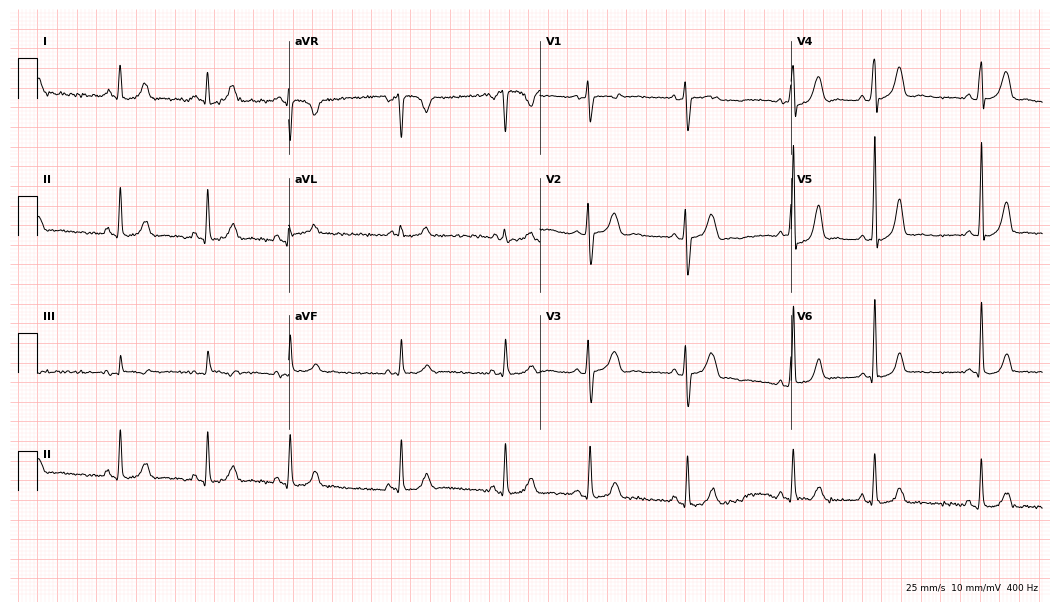
Standard 12-lead ECG recorded from a female, 19 years old (10.2-second recording at 400 Hz). Read as a normal ECG.